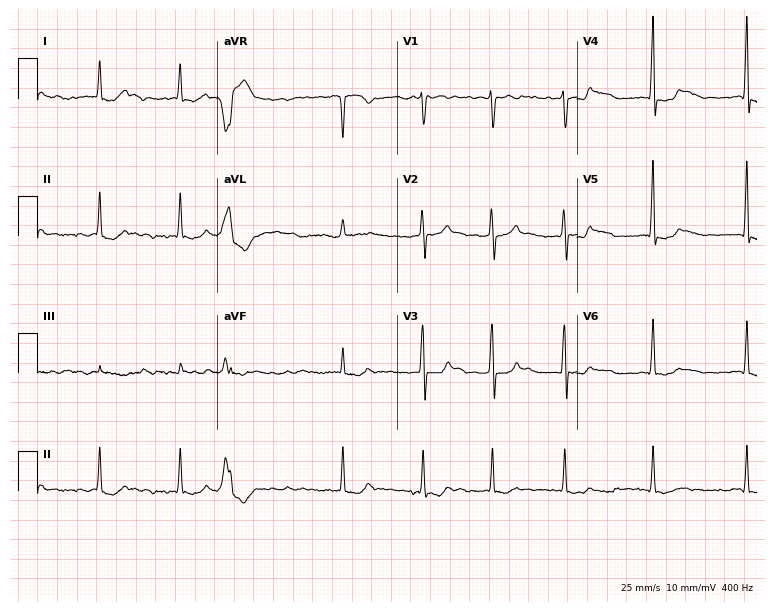
12-lead ECG from a 49-year-old male. Shows atrial fibrillation.